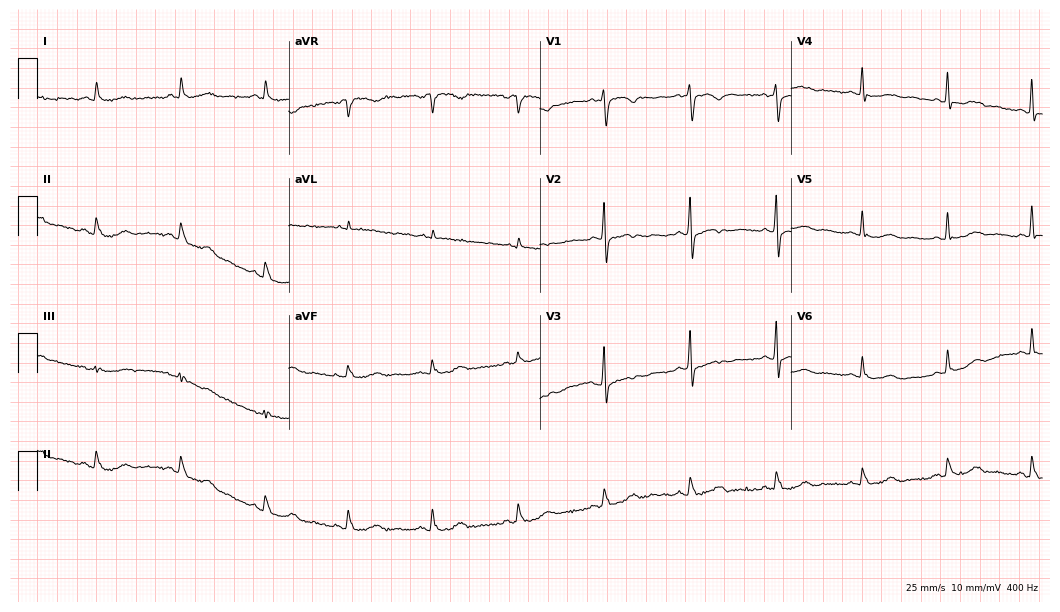
12-lead ECG (10.2-second recording at 400 Hz) from a female patient, 63 years old. Screened for six findings — first-degree AV block, right bundle branch block (RBBB), left bundle branch block (LBBB), sinus bradycardia, atrial fibrillation (AF), sinus tachycardia — none is recorded. Other findings, if any, are not listed.